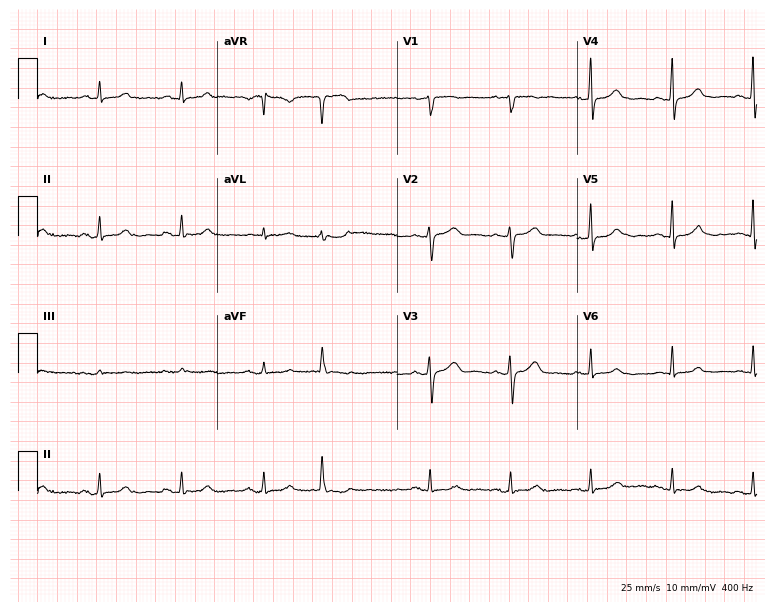
ECG — a 69-year-old female. Screened for six findings — first-degree AV block, right bundle branch block, left bundle branch block, sinus bradycardia, atrial fibrillation, sinus tachycardia — none is recorded. Other findings, if any, are not listed.